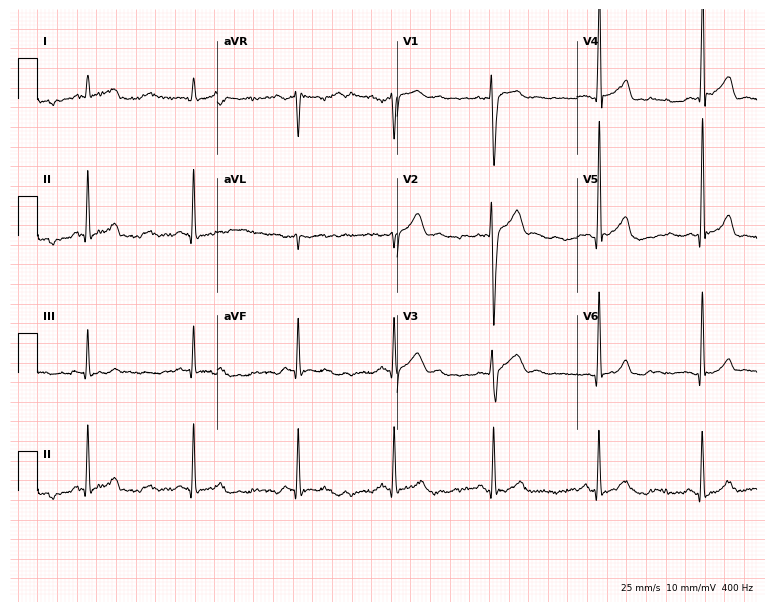
Resting 12-lead electrocardiogram. Patient: a male, 23 years old. None of these six findings is recorded: first-degree AV block, right bundle branch block, left bundle branch block, sinus bradycardia, atrial fibrillation, sinus tachycardia. Other findings, if any, are not listed.